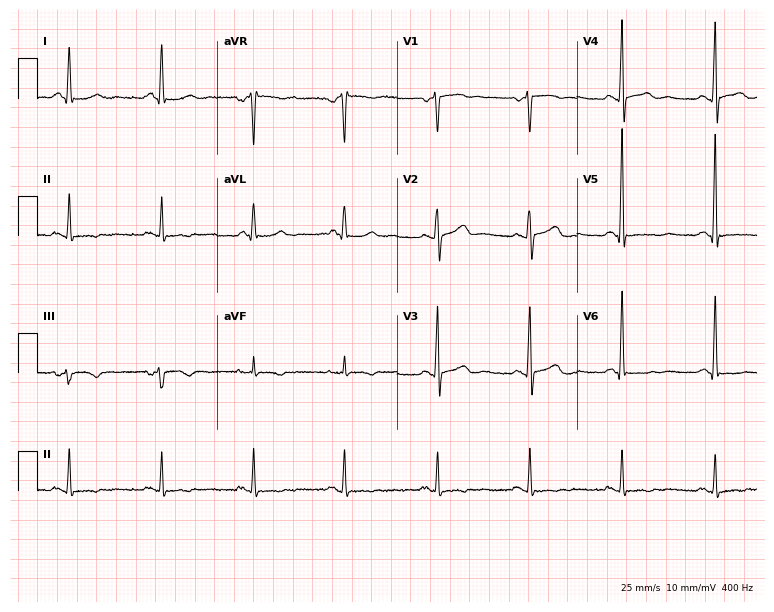
Electrocardiogram, a 62-year-old man. Of the six screened findings (first-degree AV block, right bundle branch block, left bundle branch block, sinus bradycardia, atrial fibrillation, sinus tachycardia), none is recorded.